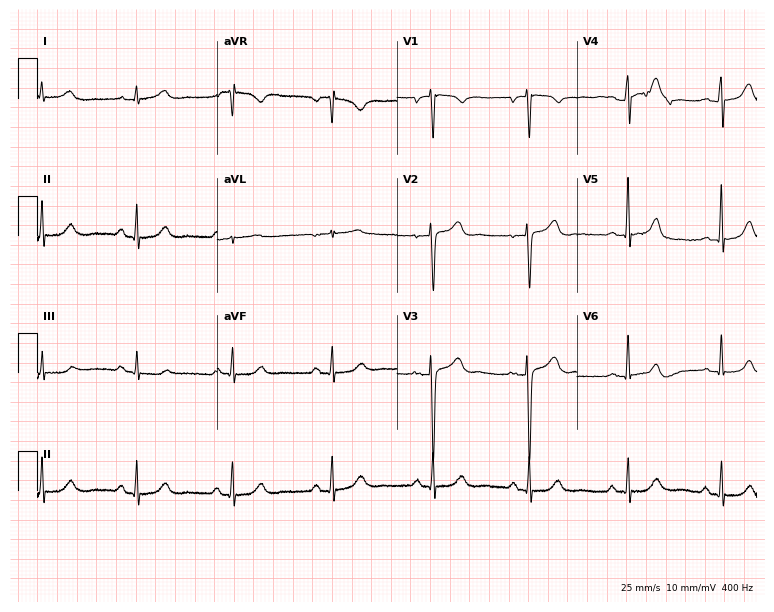
Standard 12-lead ECG recorded from a female patient, 40 years old. None of these six findings is recorded: first-degree AV block, right bundle branch block, left bundle branch block, sinus bradycardia, atrial fibrillation, sinus tachycardia. Other findings, if any, are not listed.